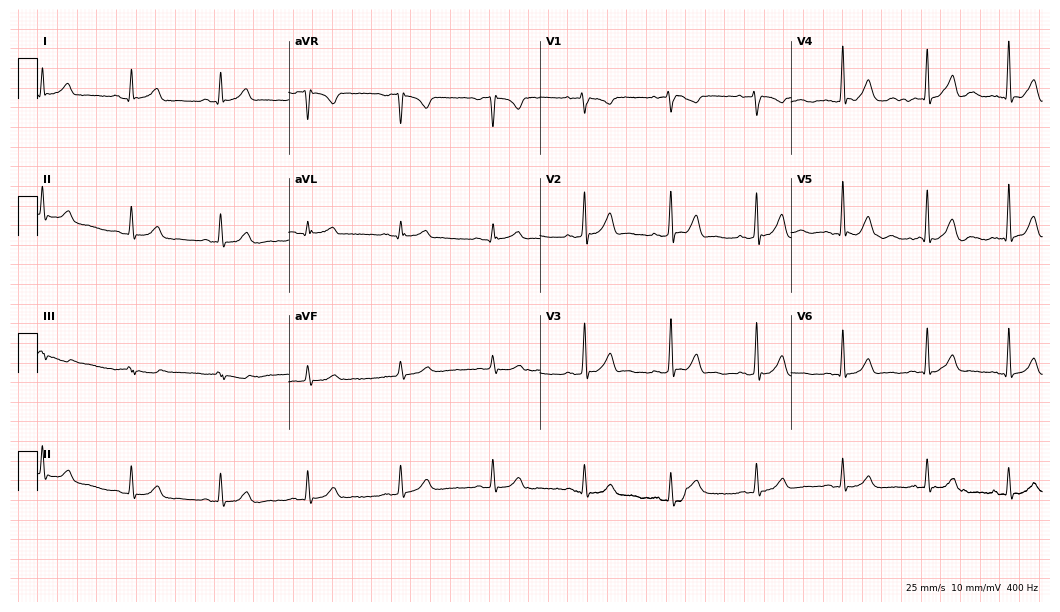
12-lead ECG from a woman, 38 years old (10.2-second recording at 400 Hz). Recorded interpretation: within normal limits.